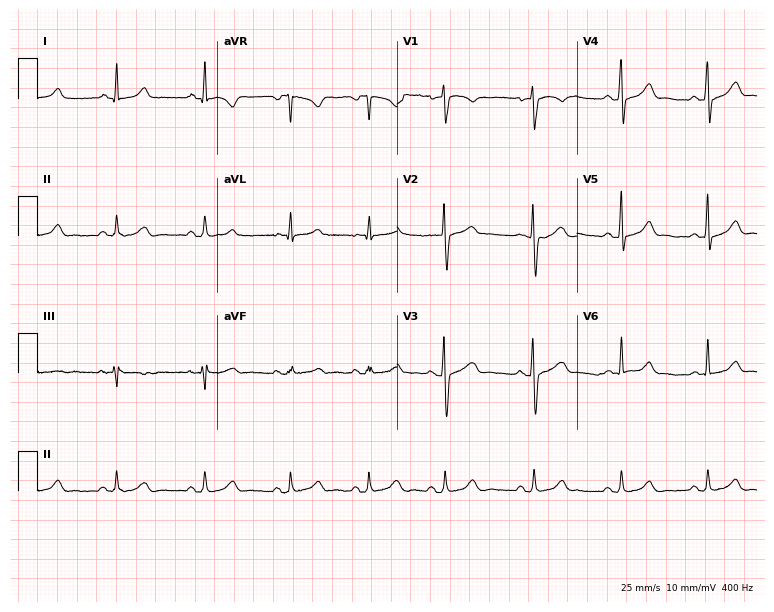
Resting 12-lead electrocardiogram. Patient: a female, 33 years old. Read as a normal ECG.